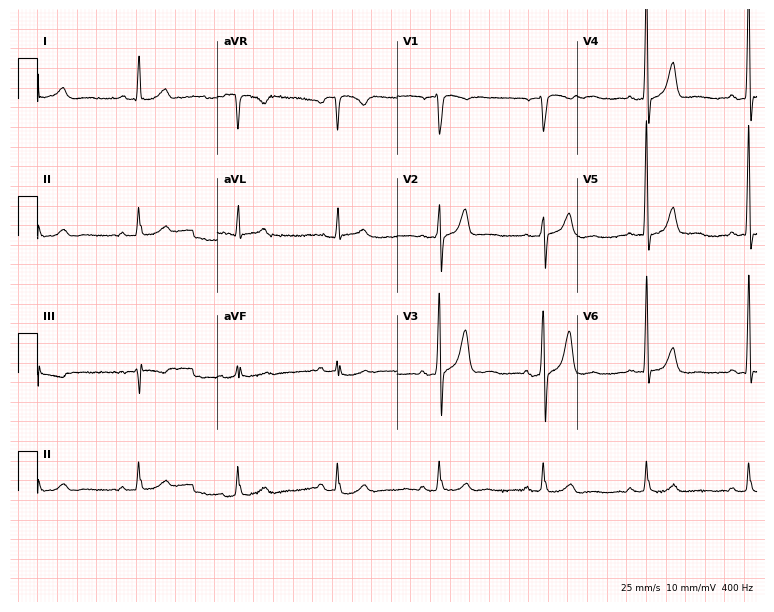
Resting 12-lead electrocardiogram. Patient: a 74-year-old male. Read as a normal ECG.